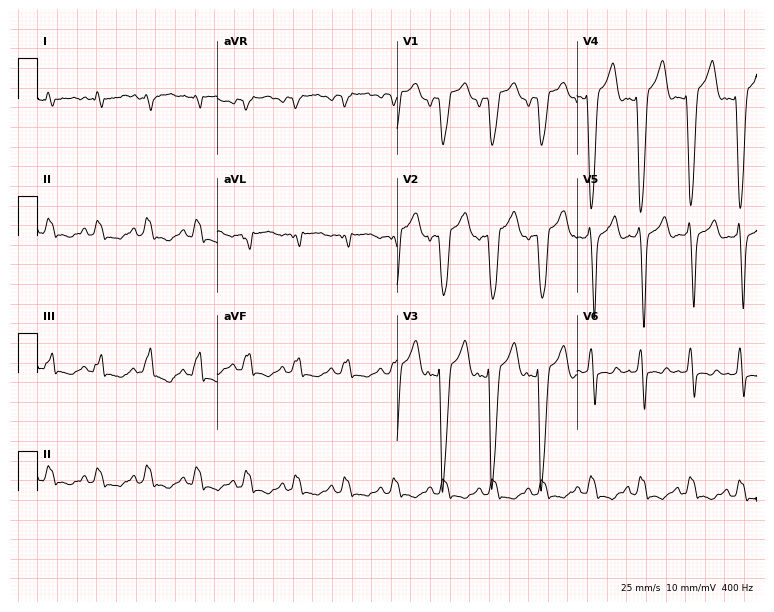
Electrocardiogram, a male, 50 years old. Interpretation includes left bundle branch block, sinus tachycardia (a sinus rate of 100 beats per minute or more).